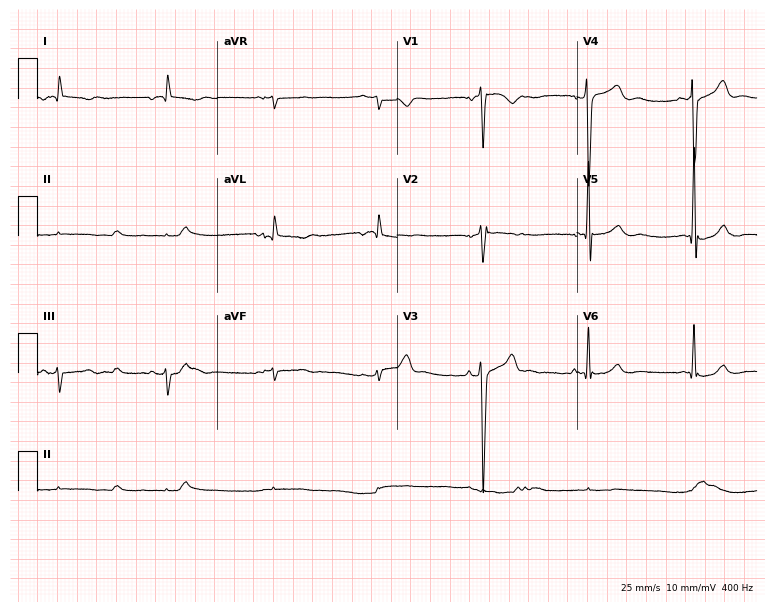
ECG (7.3-second recording at 400 Hz) — an 85-year-old male. Screened for six findings — first-degree AV block, right bundle branch block (RBBB), left bundle branch block (LBBB), sinus bradycardia, atrial fibrillation (AF), sinus tachycardia — none is recorded.